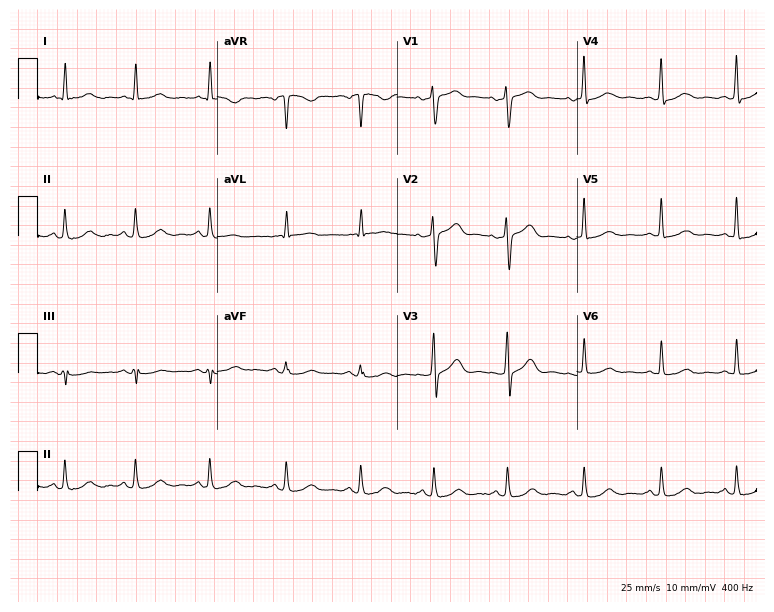
Electrocardiogram (7.3-second recording at 400 Hz), a female patient, 51 years old. Of the six screened findings (first-degree AV block, right bundle branch block, left bundle branch block, sinus bradycardia, atrial fibrillation, sinus tachycardia), none is recorded. Other findings, if any, are not listed.